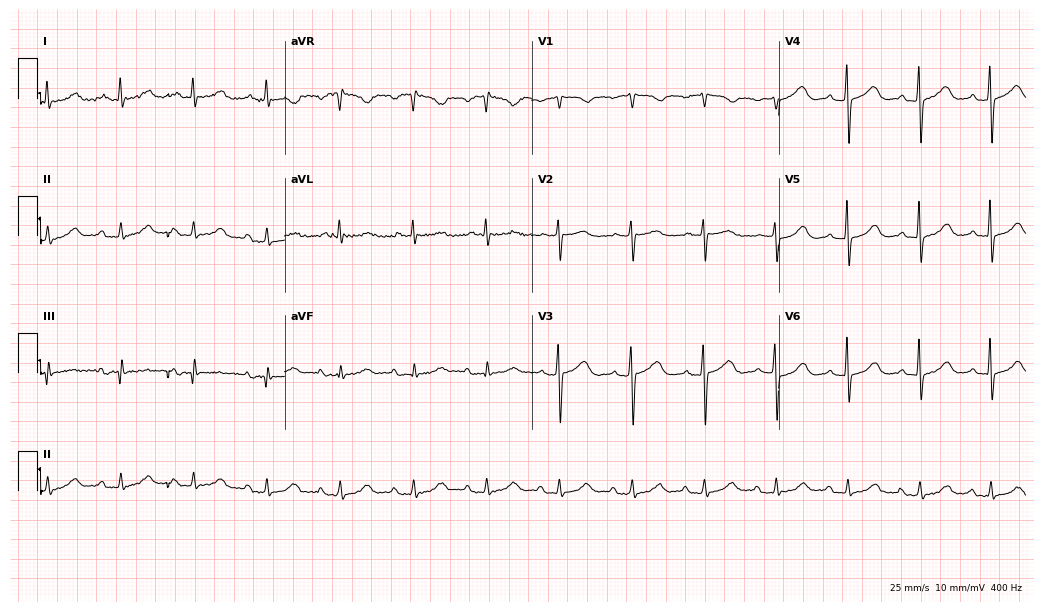
ECG (10.1-second recording at 400 Hz) — a woman, 83 years old. Labelled as a normal ECG.